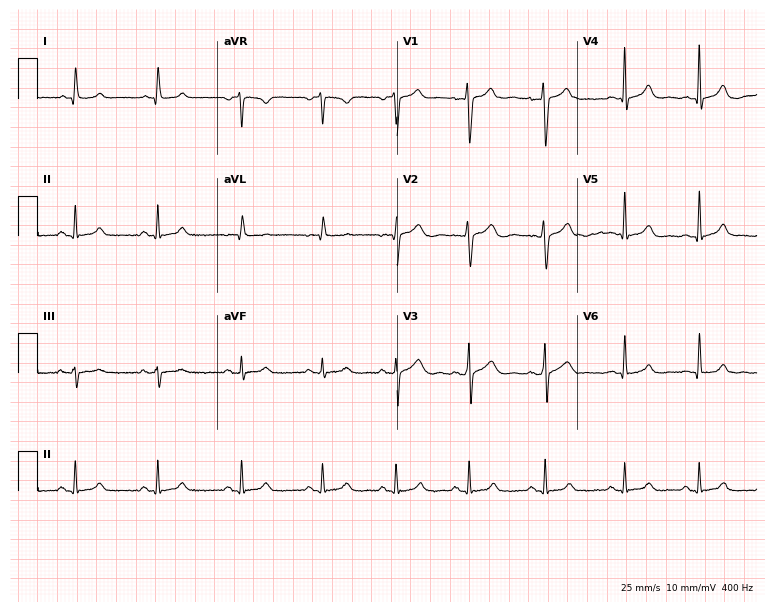
Standard 12-lead ECG recorded from a woman, 24 years old (7.3-second recording at 400 Hz). None of these six findings is recorded: first-degree AV block, right bundle branch block, left bundle branch block, sinus bradycardia, atrial fibrillation, sinus tachycardia. Findings outside these six are not listed.